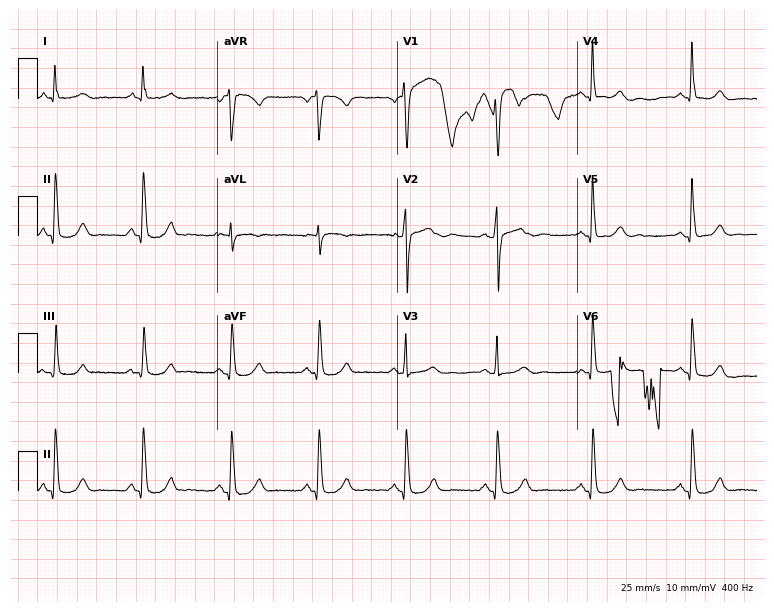
Standard 12-lead ECG recorded from a 55-year-old man (7.3-second recording at 400 Hz). Read as a normal ECG.